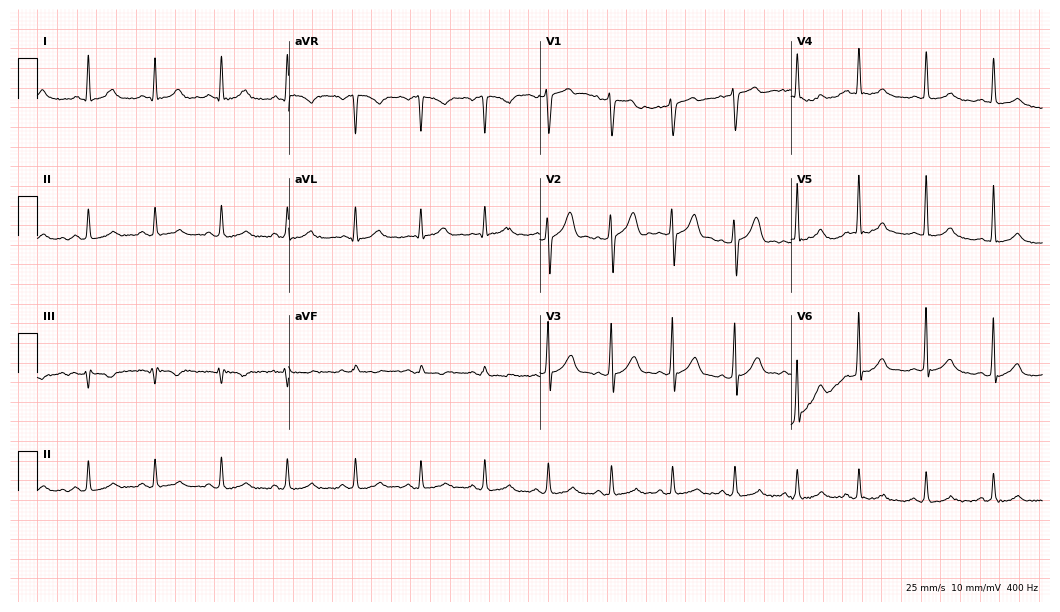
ECG — a male patient, 27 years old. Screened for six findings — first-degree AV block, right bundle branch block (RBBB), left bundle branch block (LBBB), sinus bradycardia, atrial fibrillation (AF), sinus tachycardia — none is recorded.